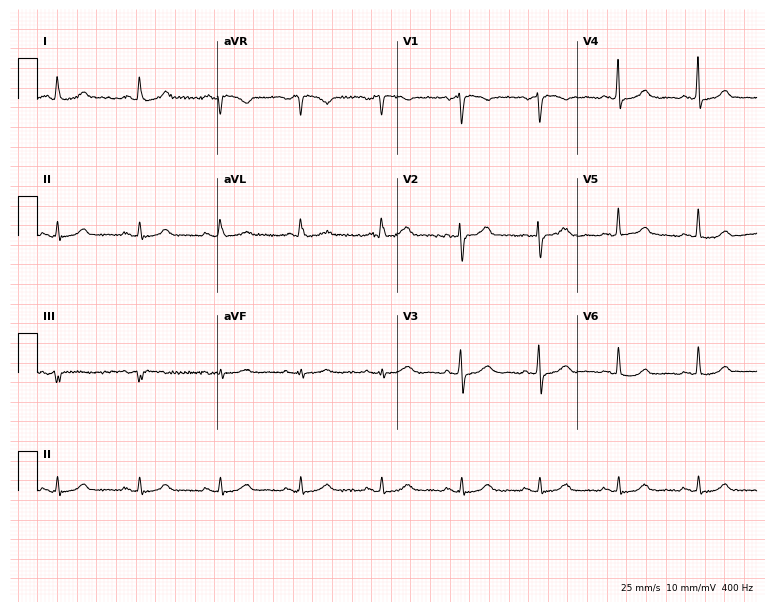
Standard 12-lead ECG recorded from a 62-year-old female patient (7.3-second recording at 400 Hz). Read as a normal ECG.